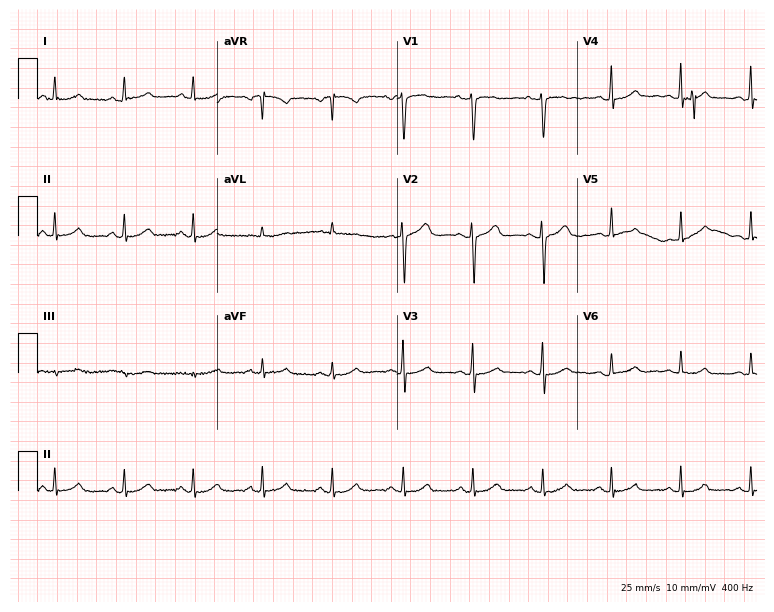
Resting 12-lead electrocardiogram (7.3-second recording at 400 Hz). Patient: a 45-year-old woman. Read as a normal ECG.